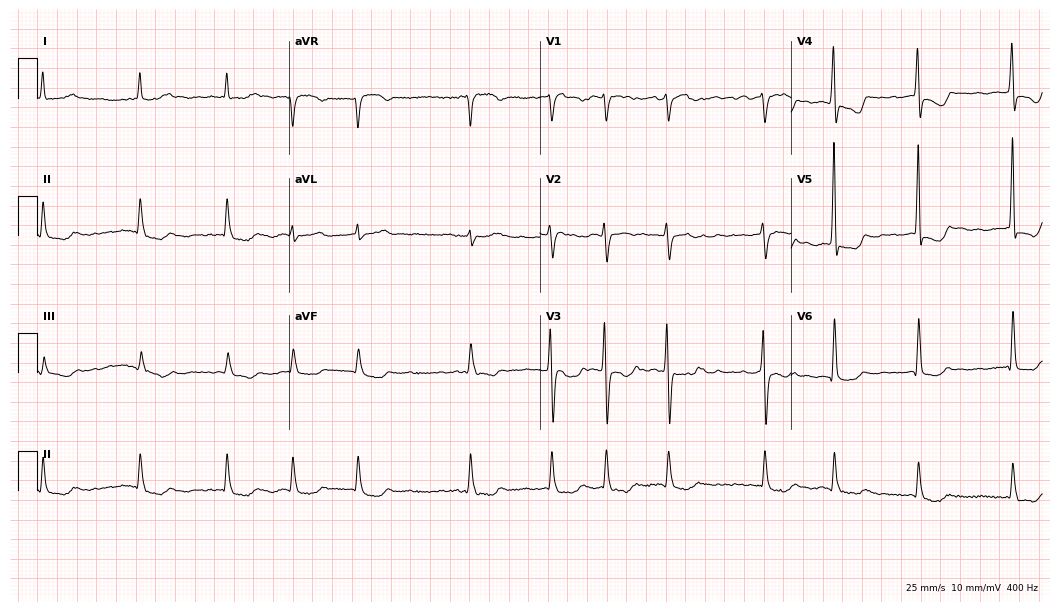
12-lead ECG from a 62-year-old female patient. Shows atrial fibrillation.